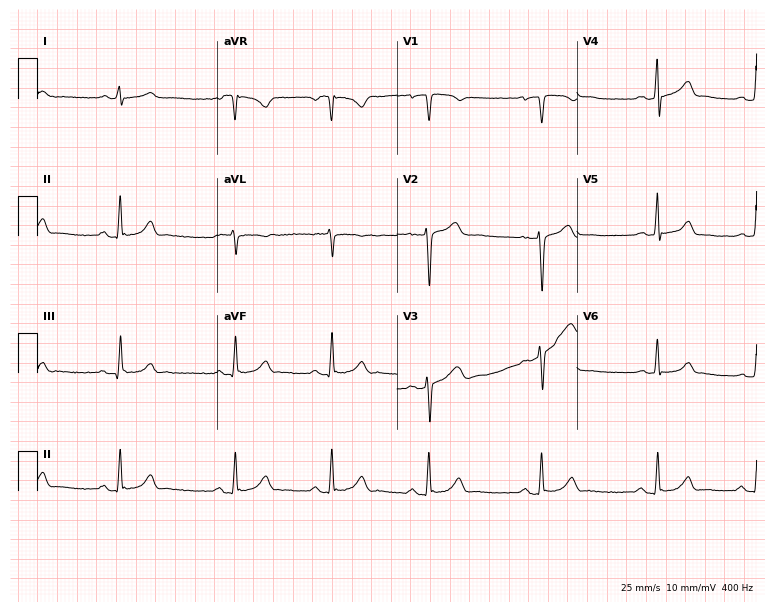
Electrocardiogram, a woman, 44 years old. Of the six screened findings (first-degree AV block, right bundle branch block (RBBB), left bundle branch block (LBBB), sinus bradycardia, atrial fibrillation (AF), sinus tachycardia), none is recorded. Only these six findings were labelled.